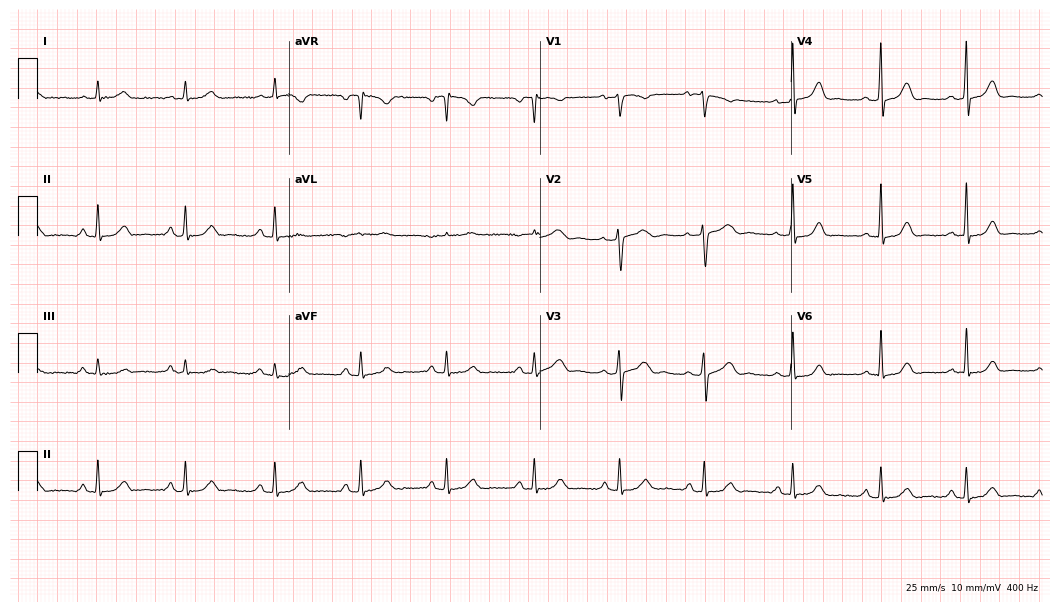
Standard 12-lead ECG recorded from a female, 45 years old. None of these six findings is recorded: first-degree AV block, right bundle branch block, left bundle branch block, sinus bradycardia, atrial fibrillation, sinus tachycardia.